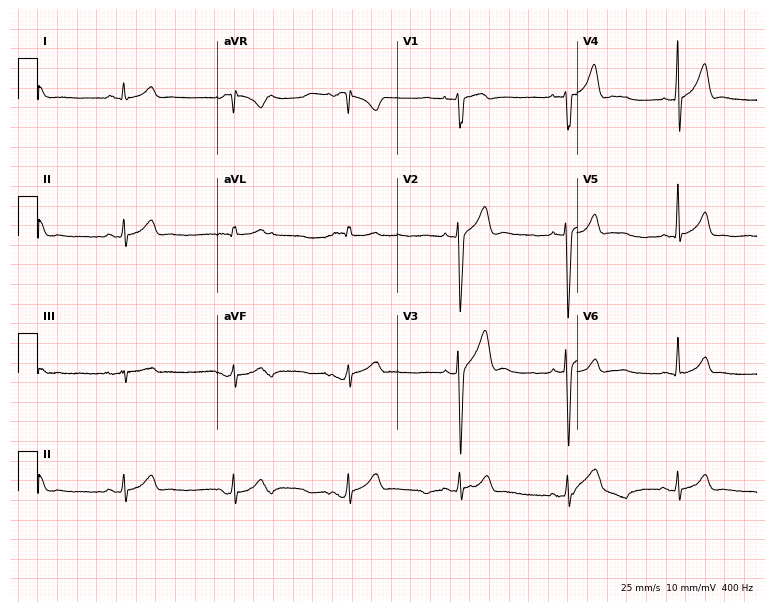
Resting 12-lead electrocardiogram. Patient: a 22-year-old male. None of these six findings is recorded: first-degree AV block, right bundle branch block, left bundle branch block, sinus bradycardia, atrial fibrillation, sinus tachycardia.